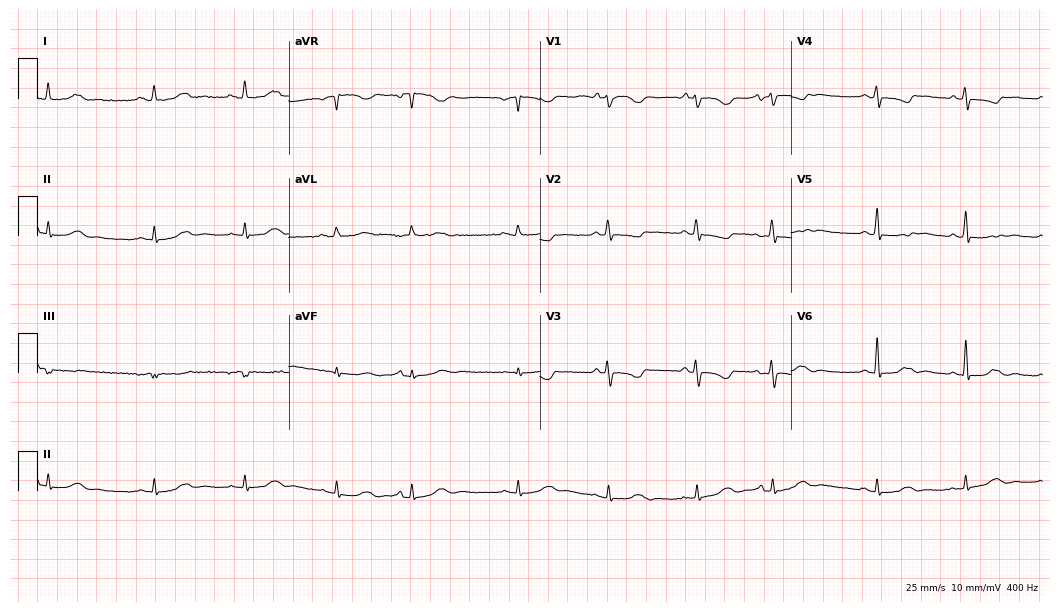
12-lead ECG from a 42-year-old woman (10.2-second recording at 400 Hz). No first-degree AV block, right bundle branch block, left bundle branch block, sinus bradycardia, atrial fibrillation or sinus tachycardia recorded for this tracing.